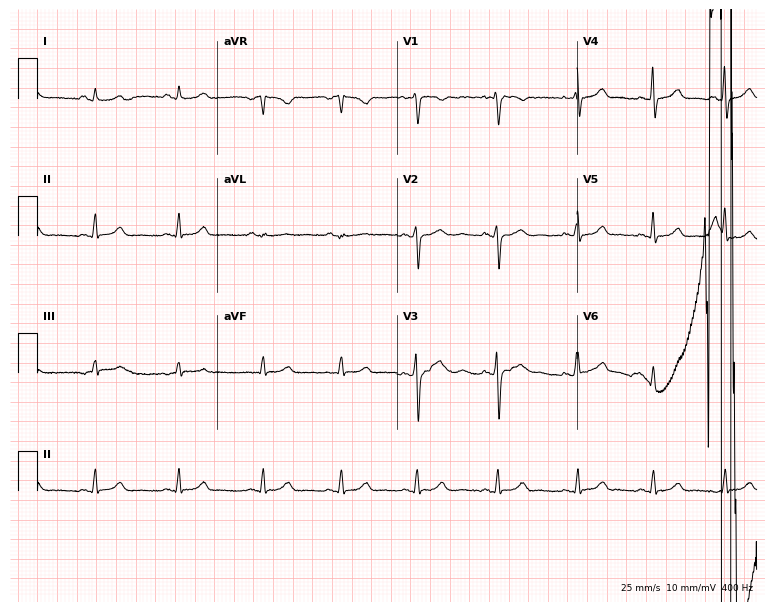
Standard 12-lead ECG recorded from a 21-year-old female. None of these six findings is recorded: first-degree AV block, right bundle branch block, left bundle branch block, sinus bradycardia, atrial fibrillation, sinus tachycardia.